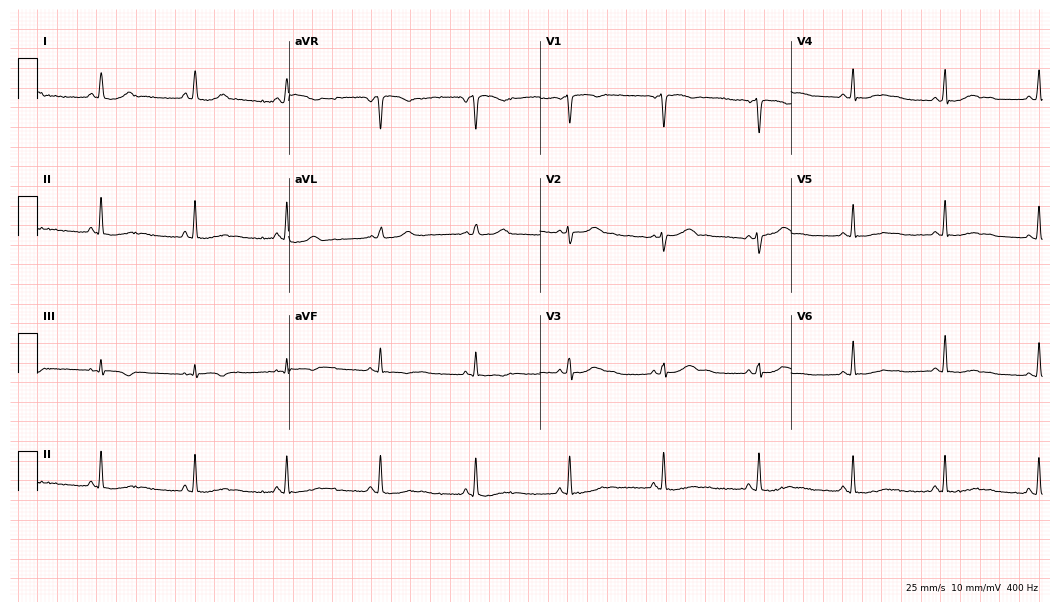
Resting 12-lead electrocardiogram. Patient: a female, 36 years old. None of these six findings is recorded: first-degree AV block, right bundle branch block, left bundle branch block, sinus bradycardia, atrial fibrillation, sinus tachycardia.